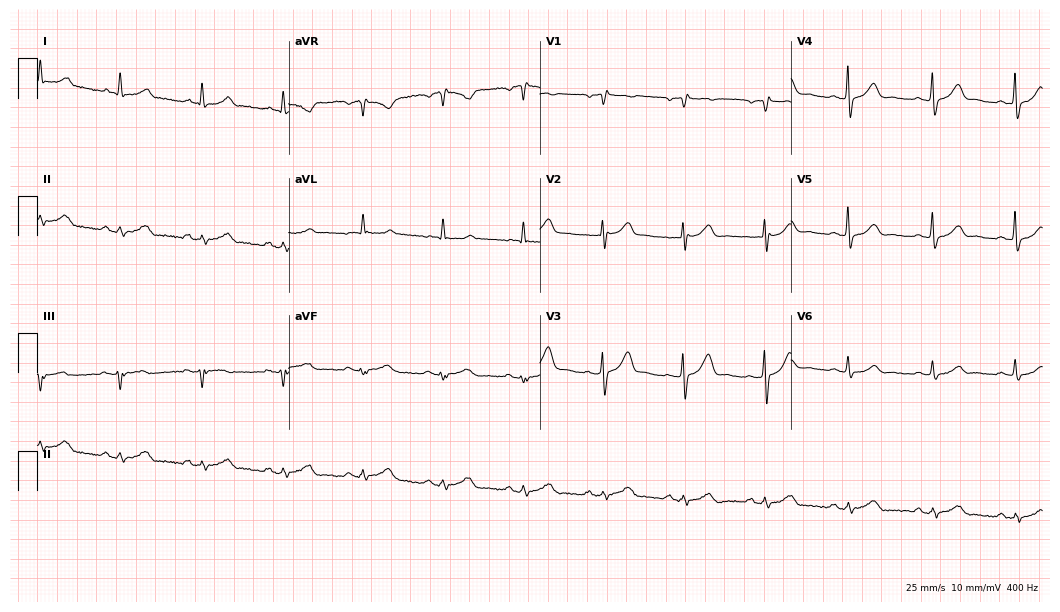
Standard 12-lead ECG recorded from a male, 50 years old. Read as a normal ECG.